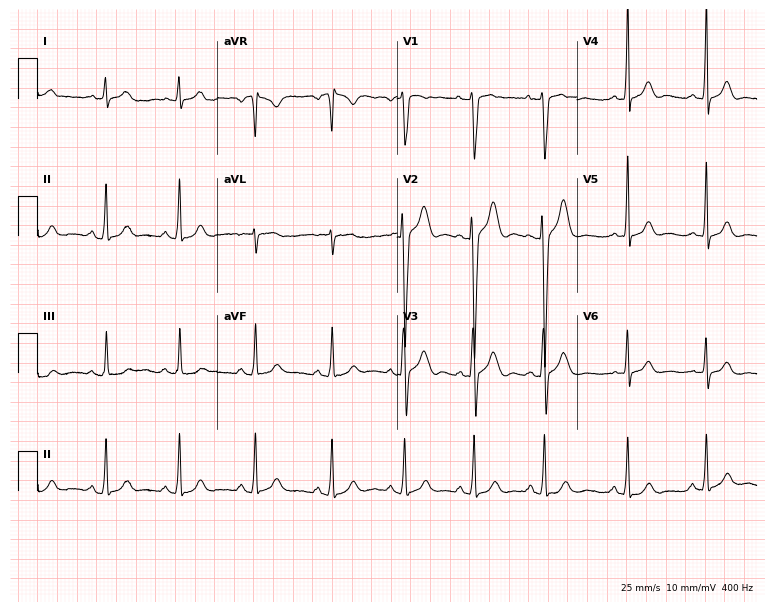
12-lead ECG from a 19-year-old male (7.3-second recording at 400 Hz). Recorded interpretation: within normal limits.